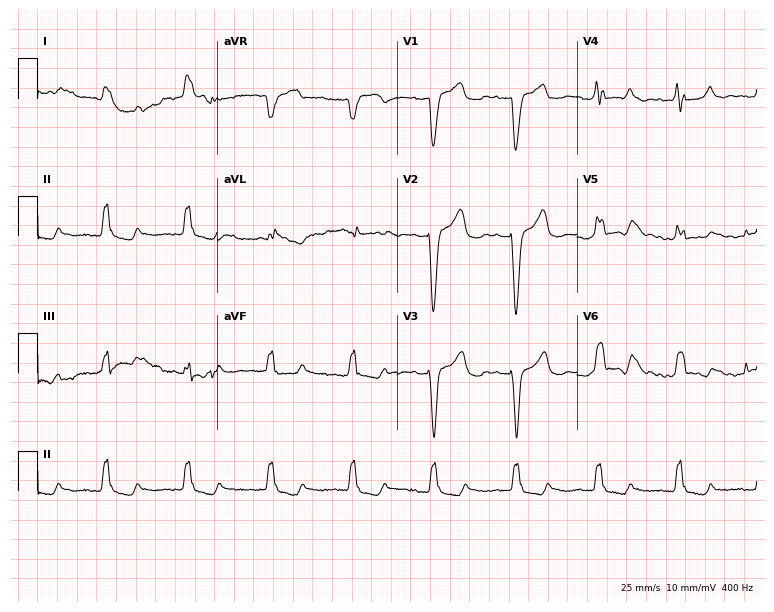
12-lead ECG (7.3-second recording at 400 Hz) from a 76-year-old woman. Findings include left bundle branch block.